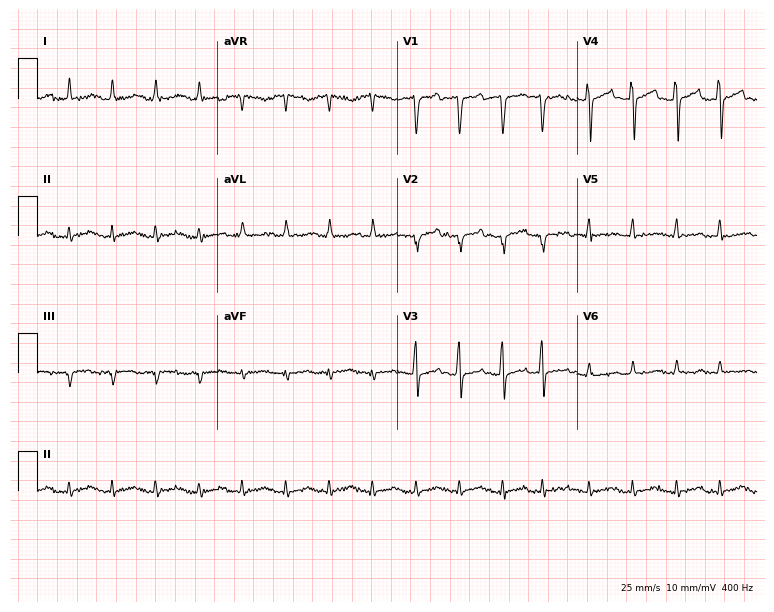
12-lead ECG from a male, 61 years old. No first-degree AV block, right bundle branch block, left bundle branch block, sinus bradycardia, atrial fibrillation or sinus tachycardia recorded for this tracing.